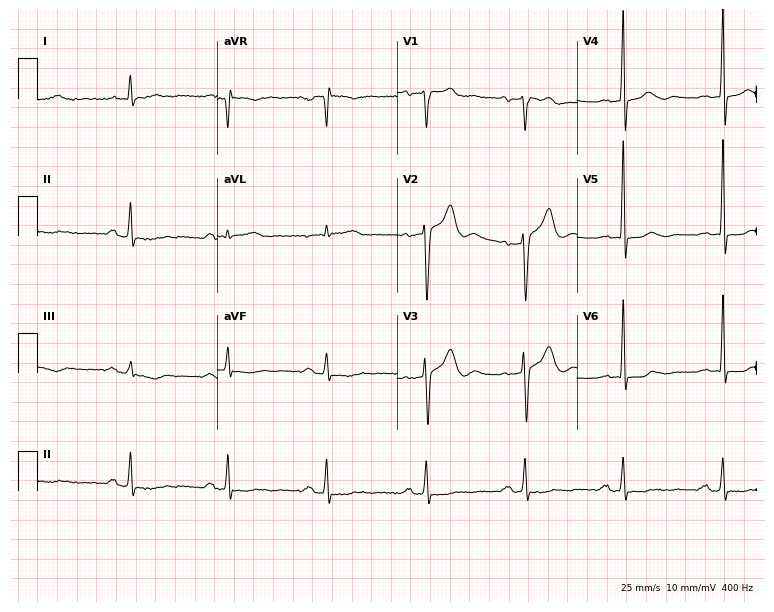
Electrocardiogram, a man, 55 years old. Of the six screened findings (first-degree AV block, right bundle branch block, left bundle branch block, sinus bradycardia, atrial fibrillation, sinus tachycardia), none is recorded. Findings outside these six are not listed.